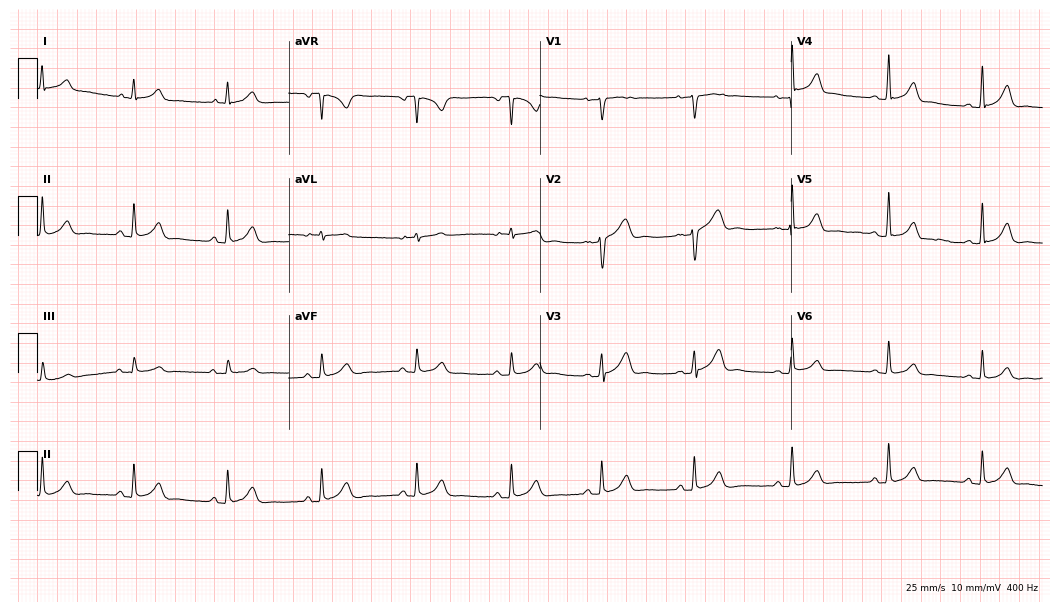
Standard 12-lead ECG recorded from a 31-year-old female (10.2-second recording at 400 Hz). Read as a normal ECG.